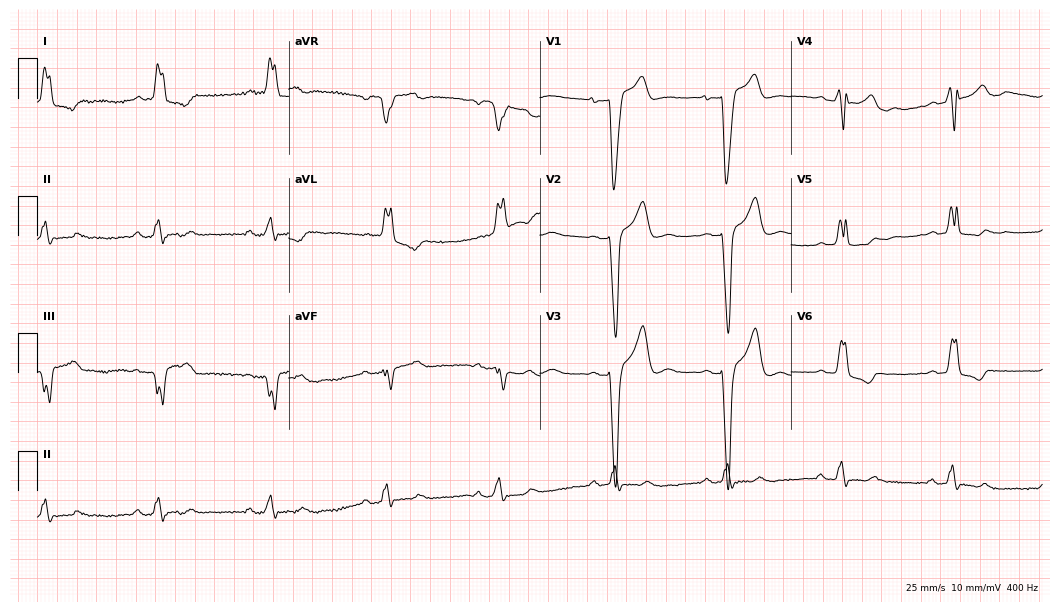
12-lead ECG from a woman, 60 years old (10.2-second recording at 400 Hz). Shows left bundle branch block.